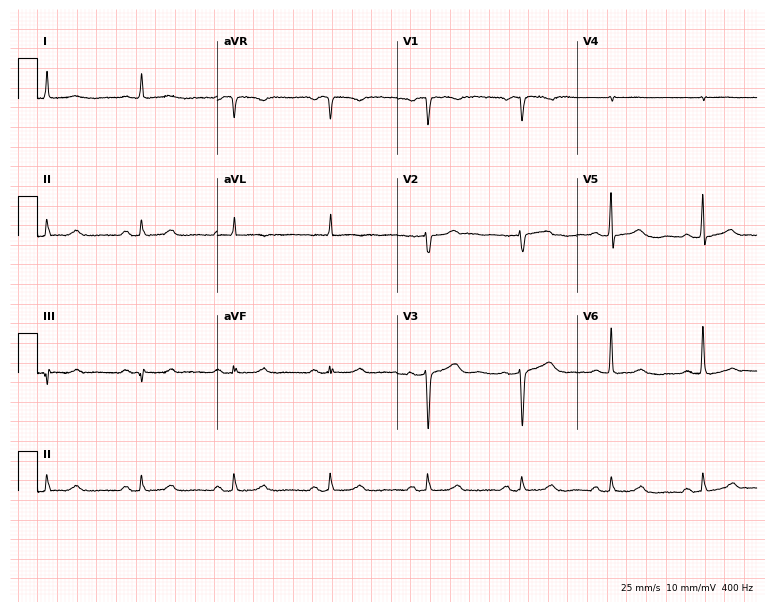
ECG (7.3-second recording at 400 Hz) — a 51-year-old woman. Screened for six findings — first-degree AV block, right bundle branch block, left bundle branch block, sinus bradycardia, atrial fibrillation, sinus tachycardia — none is recorded. Only these six findings were labelled.